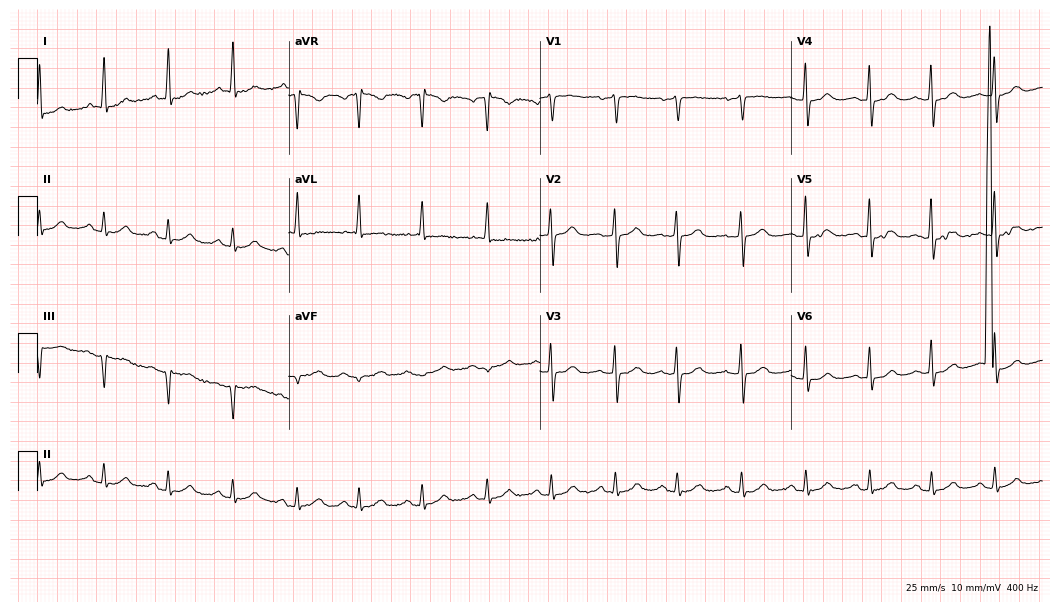
12-lead ECG from a female patient, 67 years old. Recorded interpretation: within normal limits.